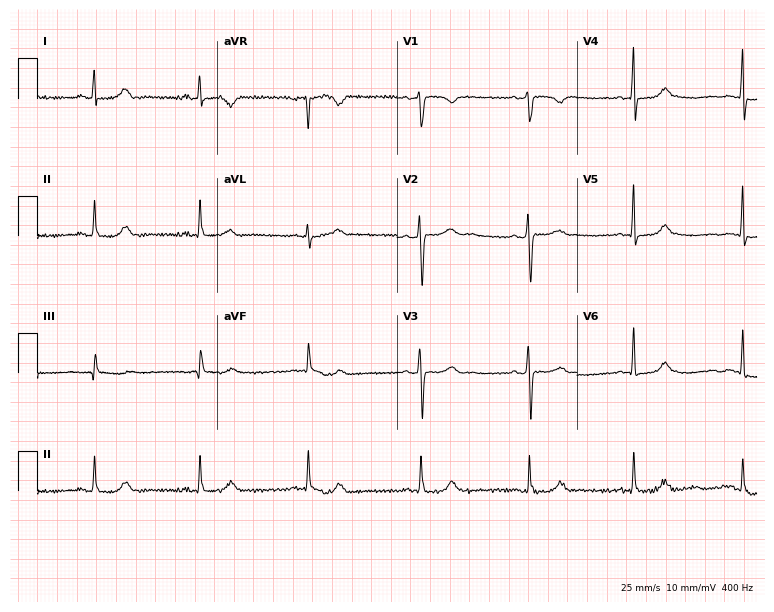
12-lead ECG from a 43-year-old female (7.3-second recording at 400 Hz). No first-degree AV block, right bundle branch block, left bundle branch block, sinus bradycardia, atrial fibrillation or sinus tachycardia recorded for this tracing.